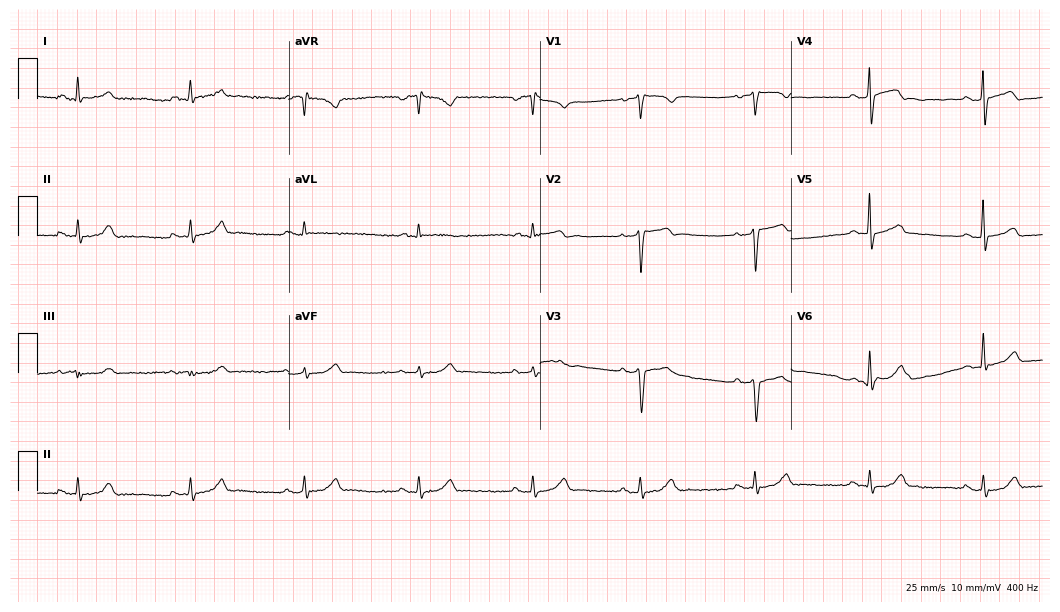
Resting 12-lead electrocardiogram. Patient: a 74-year-old male. Read as a normal ECG.